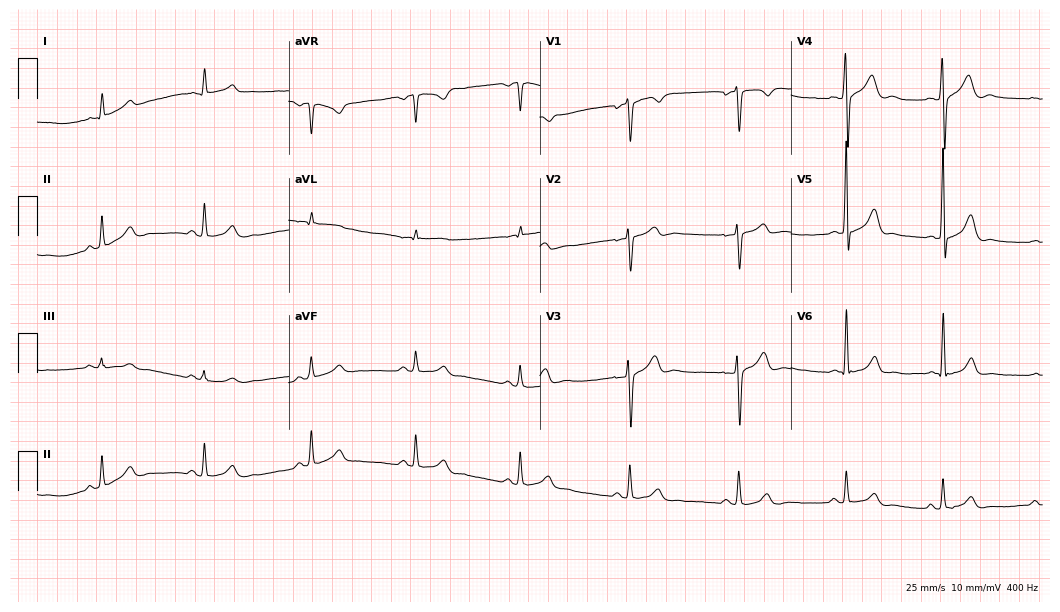
12-lead ECG (10.2-second recording at 400 Hz) from a 38-year-old man. Labelled as a normal ECG.